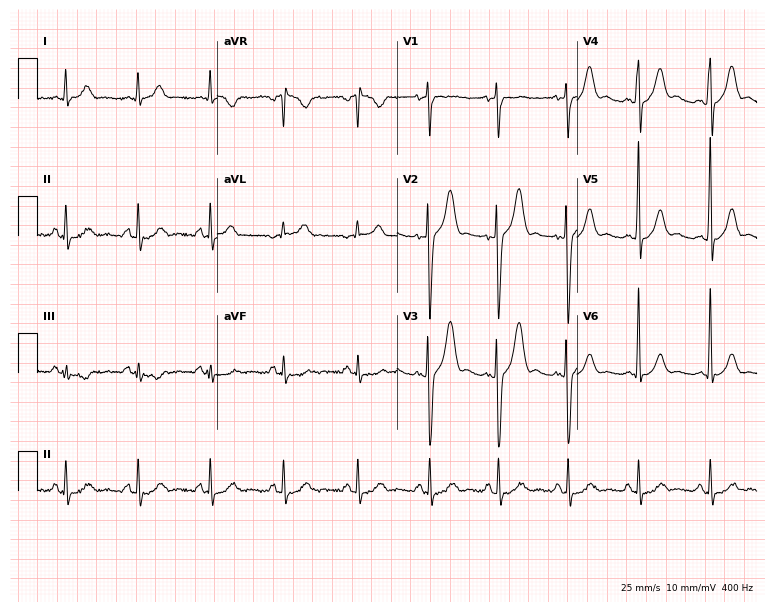
12-lead ECG from a male, 46 years old (7.3-second recording at 400 Hz). Recorded interpretation: within normal limits.